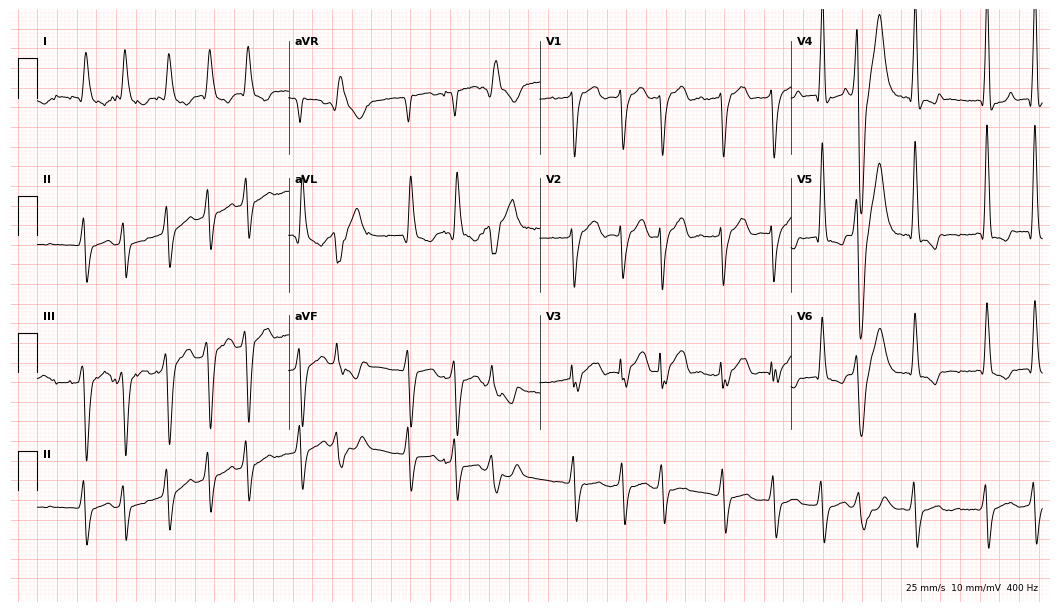
12-lead ECG from a male patient, 84 years old (10.2-second recording at 400 Hz). Shows left bundle branch block (LBBB), atrial fibrillation (AF).